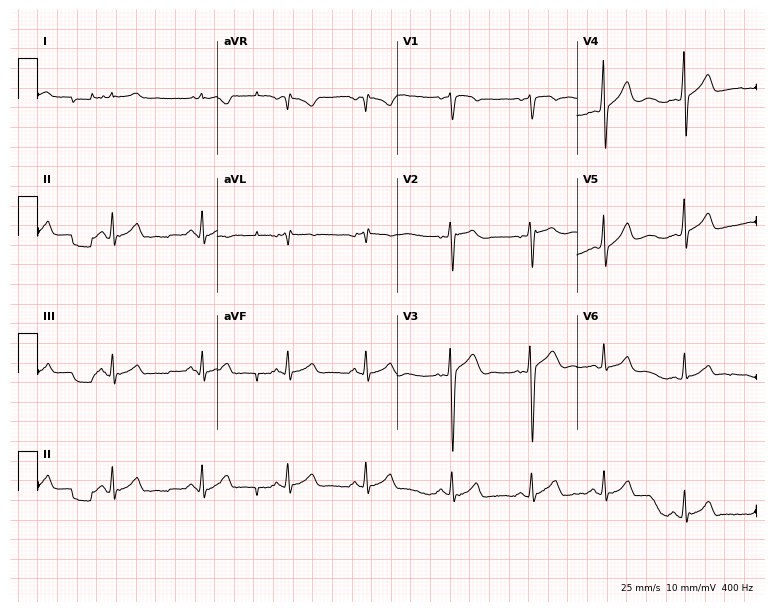
Resting 12-lead electrocardiogram. Patient: a male, 20 years old. None of these six findings is recorded: first-degree AV block, right bundle branch block, left bundle branch block, sinus bradycardia, atrial fibrillation, sinus tachycardia.